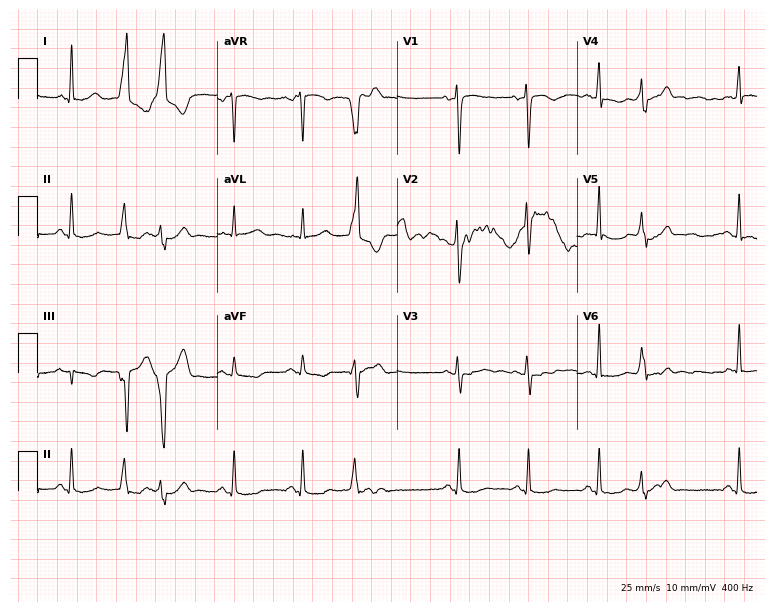
12-lead ECG from a female patient, 43 years old. Screened for six findings — first-degree AV block, right bundle branch block (RBBB), left bundle branch block (LBBB), sinus bradycardia, atrial fibrillation (AF), sinus tachycardia — none is recorded.